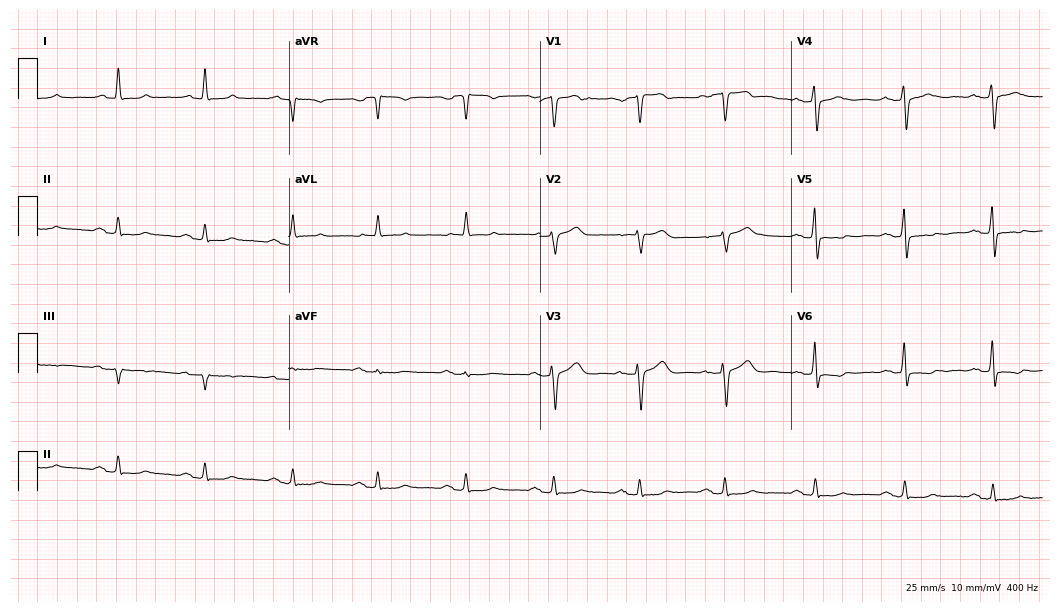
Electrocardiogram (10.2-second recording at 400 Hz), a 75-year-old male patient. Interpretation includes first-degree AV block.